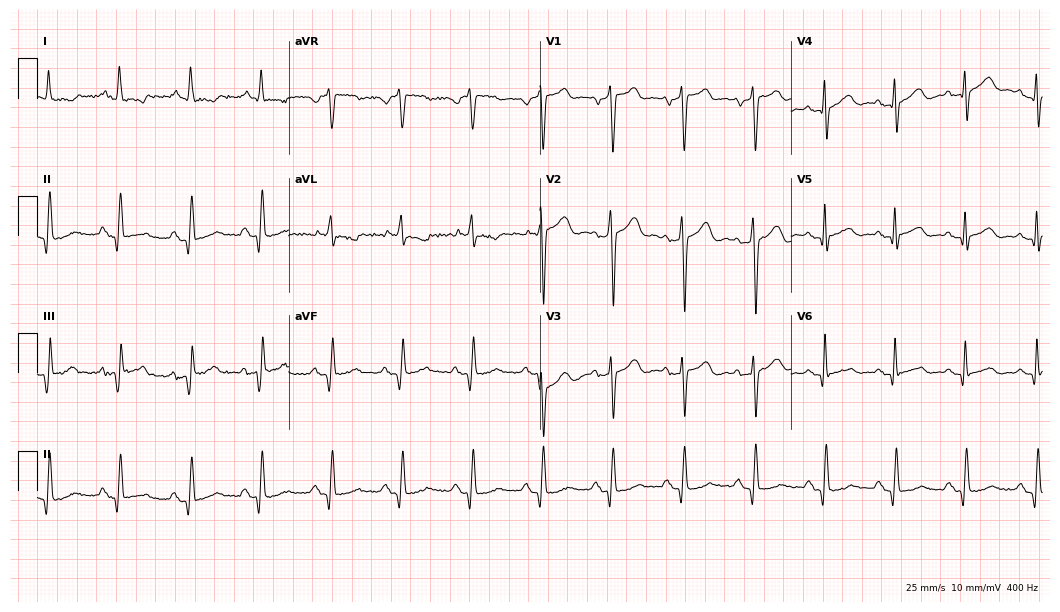
ECG (10.2-second recording at 400 Hz) — a 65-year-old male. Screened for six findings — first-degree AV block, right bundle branch block, left bundle branch block, sinus bradycardia, atrial fibrillation, sinus tachycardia — none is recorded. Only these six findings were labelled.